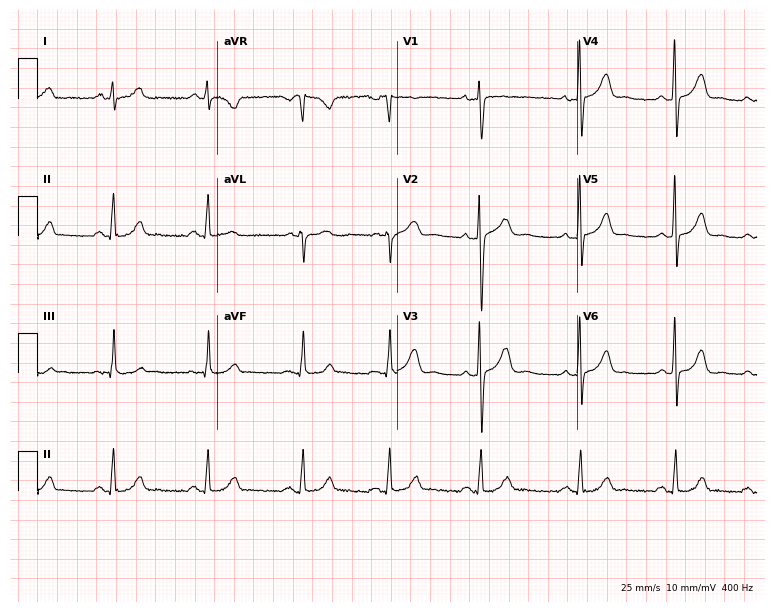
Resting 12-lead electrocardiogram (7.3-second recording at 400 Hz). Patient: a 27-year-old female. None of these six findings is recorded: first-degree AV block, right bundle branch block, left bundle branch block, sinus bradycardia, atrial fibrillation, sinus tachycardia.